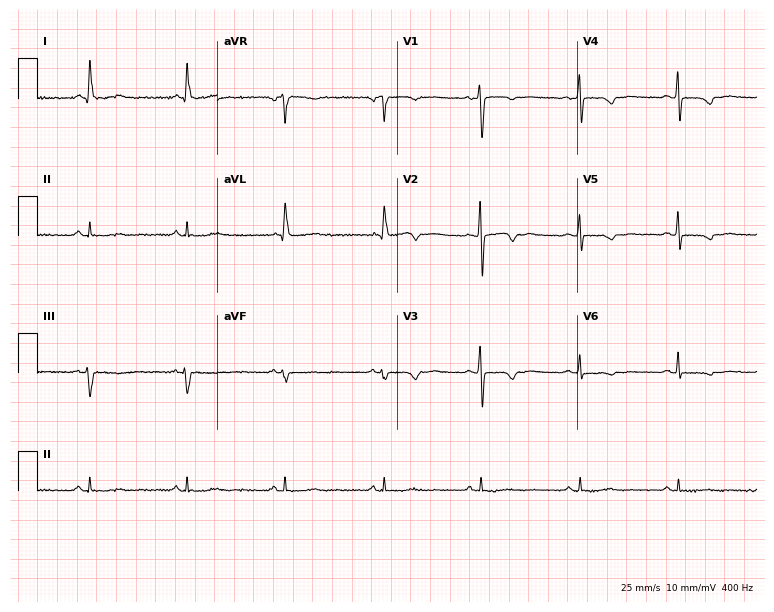
Electrocardiogram, a woman, 51 years old. Of the six screened findings (first-degree AV block, right bundle branch block (RBBB), left bundle branch block (LBBB), sinus bradycardia, atrial fibrillation (AF), sinus tachycardia), none is recorded.